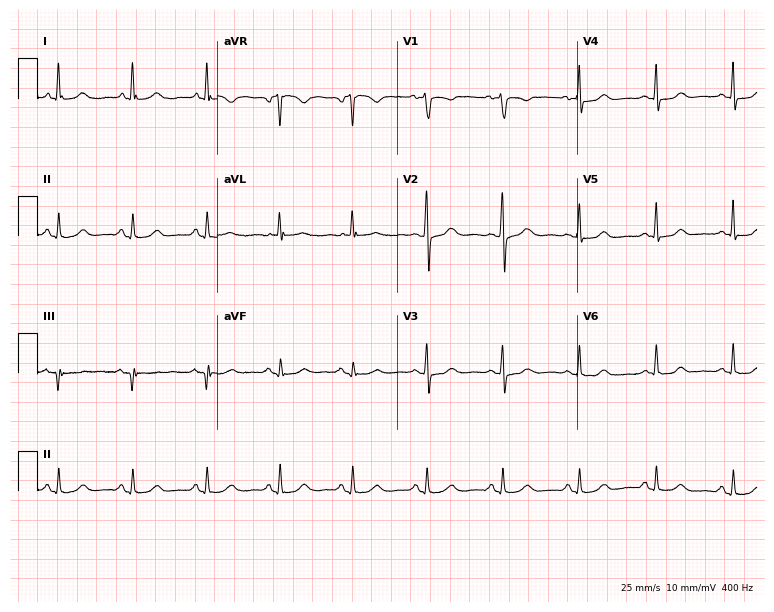
Resting 12-lead electrocardiogram (7.3-second recording at 400 Hz). Patient: a woman, 60 years old. Read as a normal ECG.